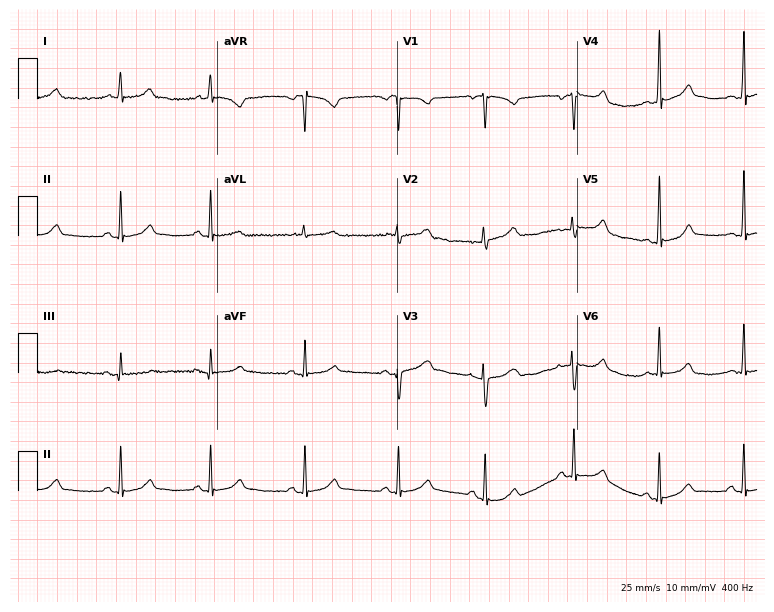
Resting 12-lead electrocardiogram (7.3-second recording at 400 Hz). Patient: a 32-year-old woman. Read as a normal ECG.